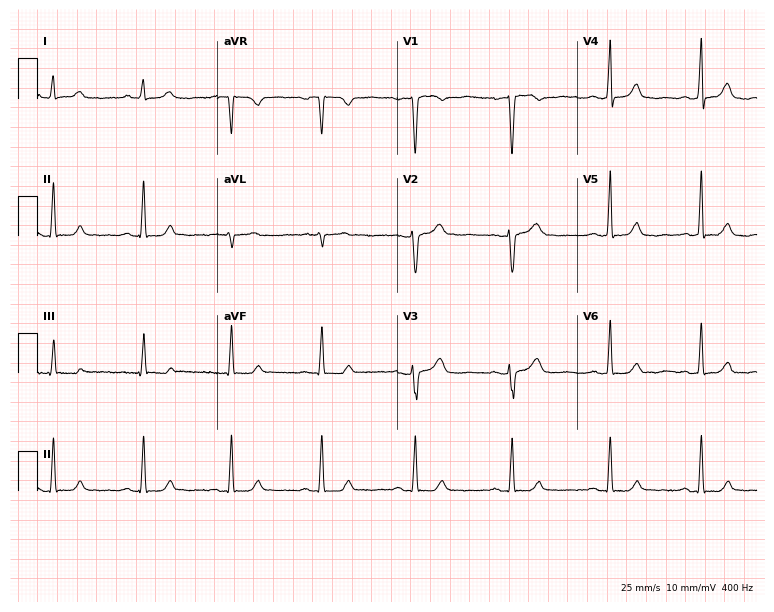
12-lead ECG (7.3-second recording at 400 Hz) from a woman, 58 years old. Screened for six findings — first-degree AV block, right bundle branch block, left bundle branch block, sinus bradycardia, atrial fibrillation, sinus tachycardia — none is recorded.